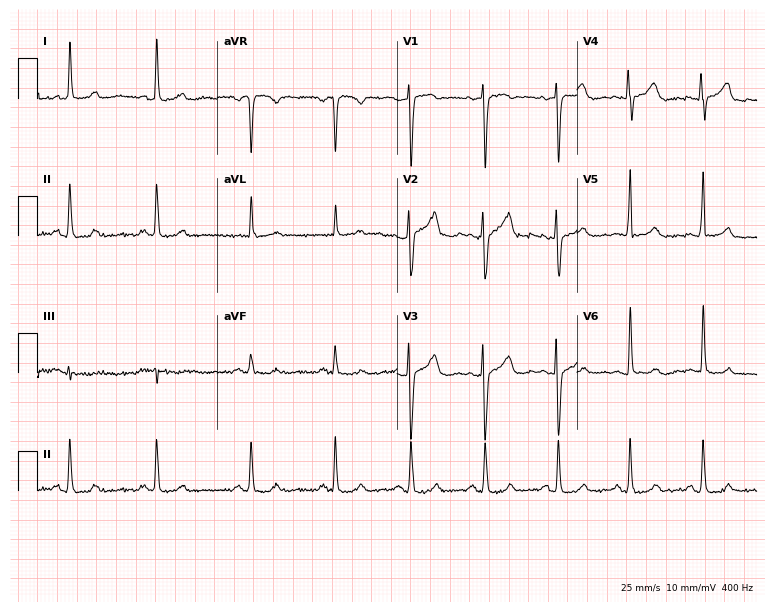
12-lead ECG from a 32-year-old female (7.3-second recording at 400 Hz). No first-degree AV block, right bundle branch block, left bundle branch block, sinus bradycardia, atrial fibrillation or sinus tachycardia recorded for this tracing. Other findings, if any, are not listed.